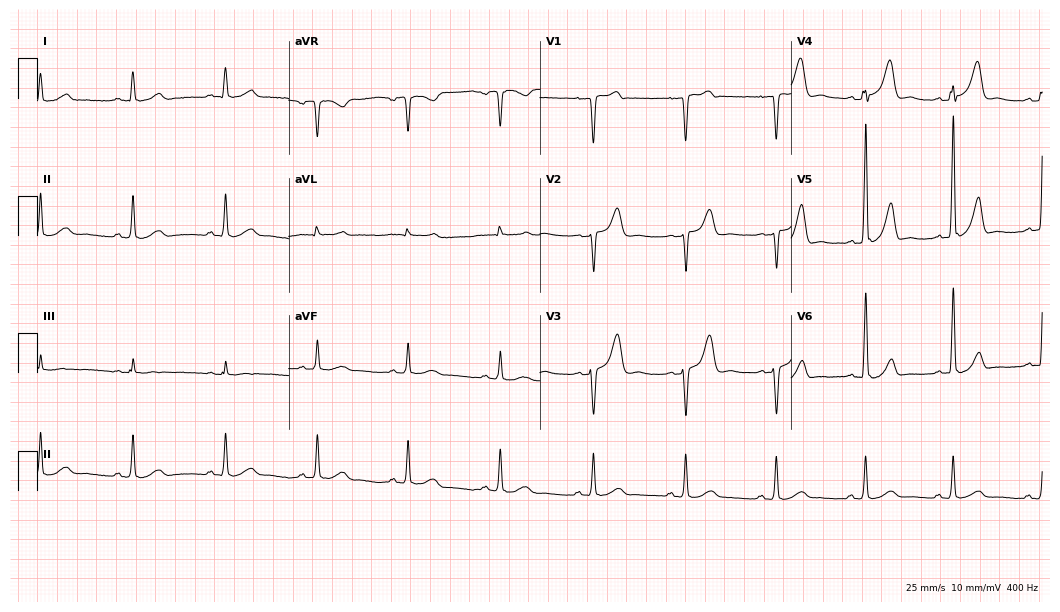
12-lead ECG from a 66-year-old male. No first-degree AV block, right bundle branch block, left bundle branch block, sinus bradycardia, atrial fibrillation or sinus tachycardia recorded for this tracing. Findings outside these six are not listed.